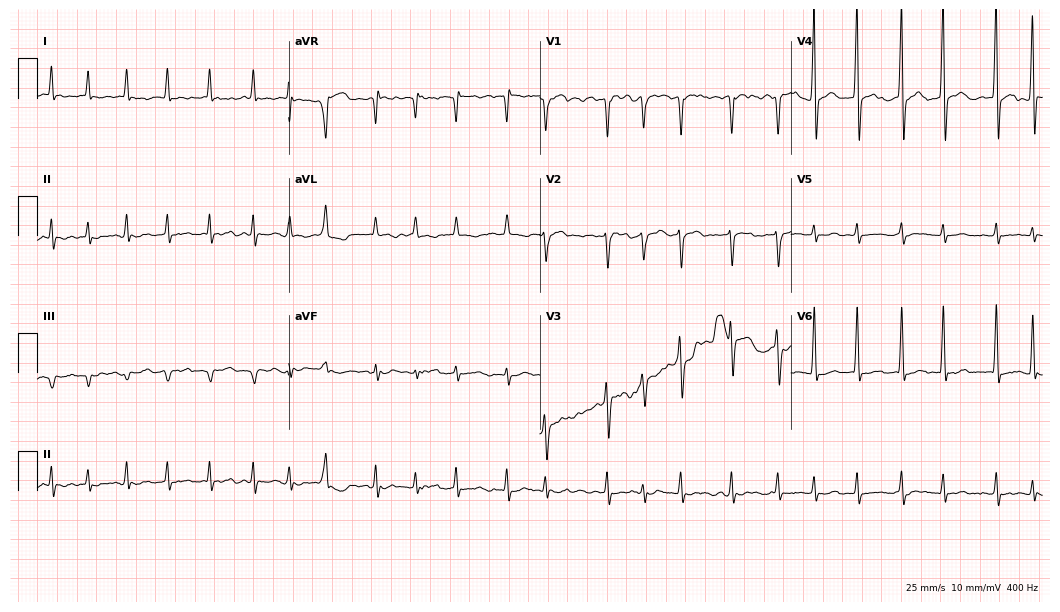
Standard 12-lead ECG recorded from a 45-year-old man. The tracing shows atrial fibrillation.